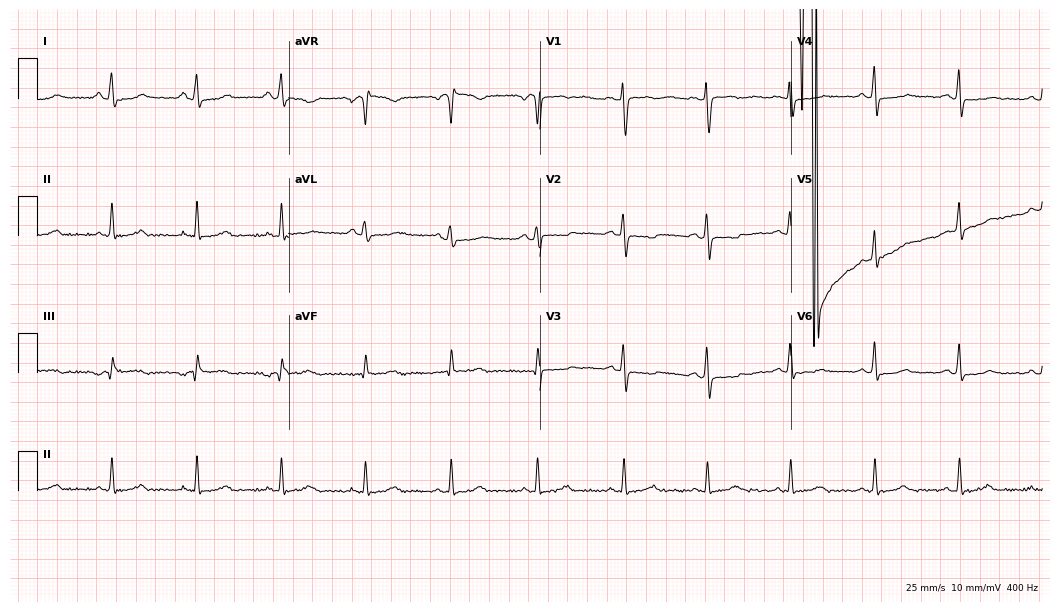
Standard 12-lead ECG recorded from a female patient, 45 years old. None of these six findings is recorded: first-degree AV block, right bundle branch block (RBBB), left bundle branch block (LBBB), sinus bradycardia, atrial fibrillation (AF), sinus tachycardia. Only these six findings were labelled.